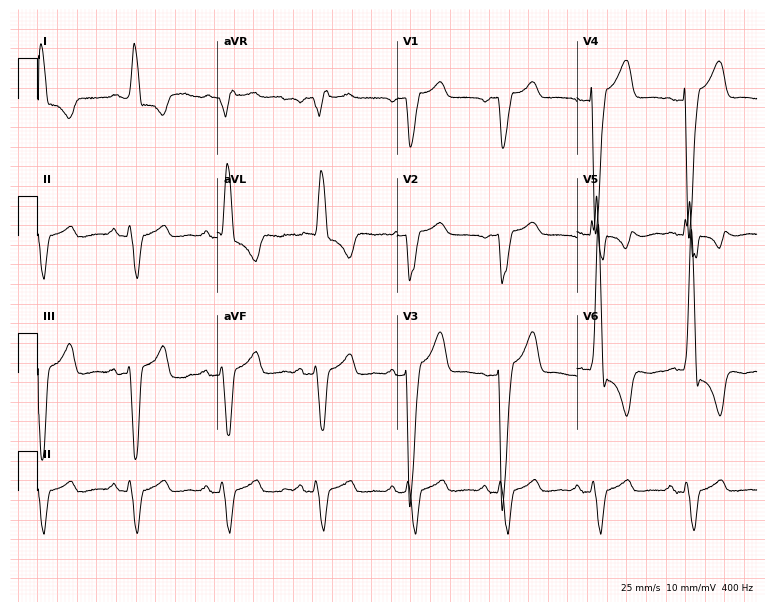
12-lead ECG from a male, 66 years old. No first-degree AV block, right bundle branch block (RBBB), left bundle branch block (LBBB), sinus bradycardia, atrial fibrillation (AF) or sinus tachycardia recorded for this tracing. Other findings, if any, are not listed.